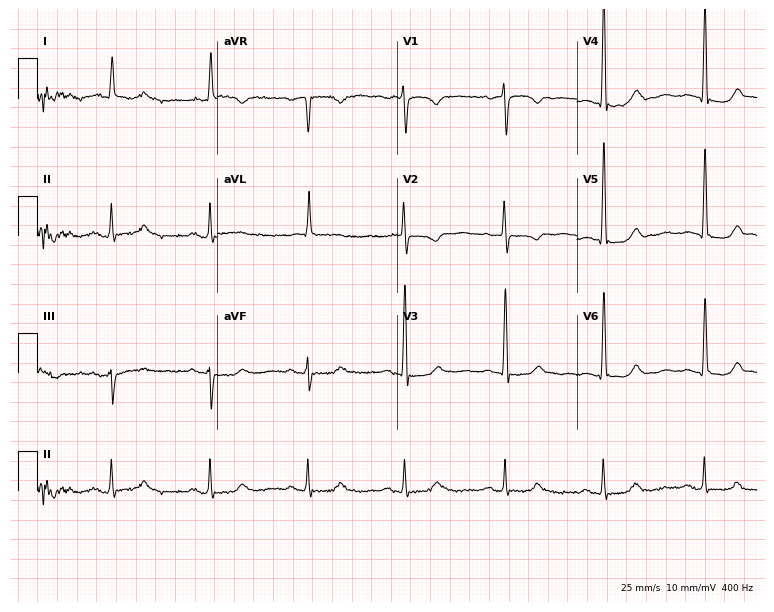
12-lead ECG (7.3-second recording at 400 Hz) from a woman, 78 years old. Labelled as a normal ECG.